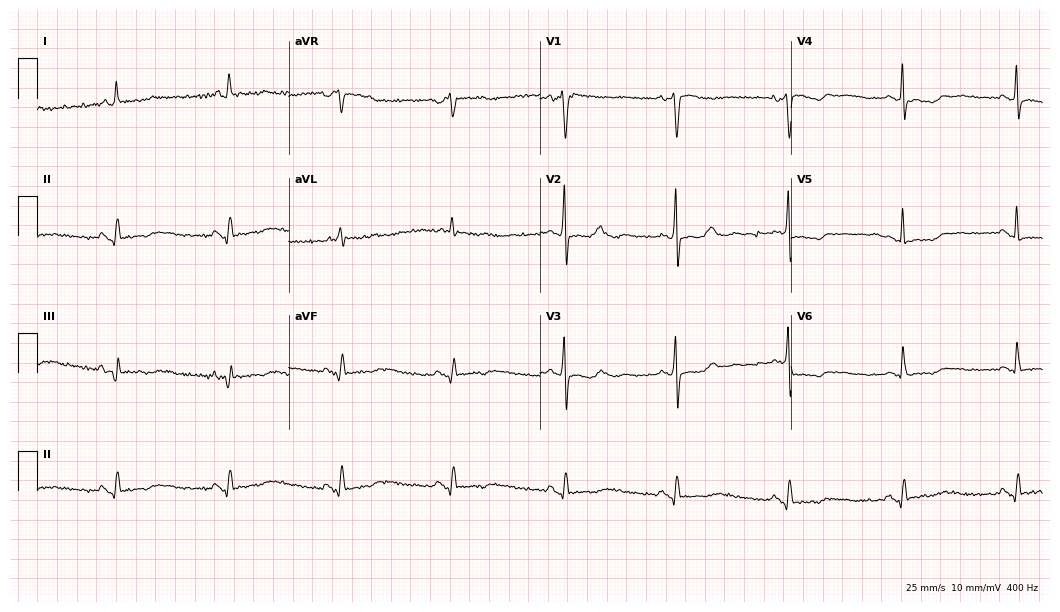
Standard 12-lead ECG recorded from a 73-year-old male (10.2-second recording at 400 Hz). None of these six findings is recorded: first-degree AV block, right bundle branch block, left bundle branch block, sinus bradycardia, atrial fibrillation, sinus tachycardia. Findings outside these six are not listed.